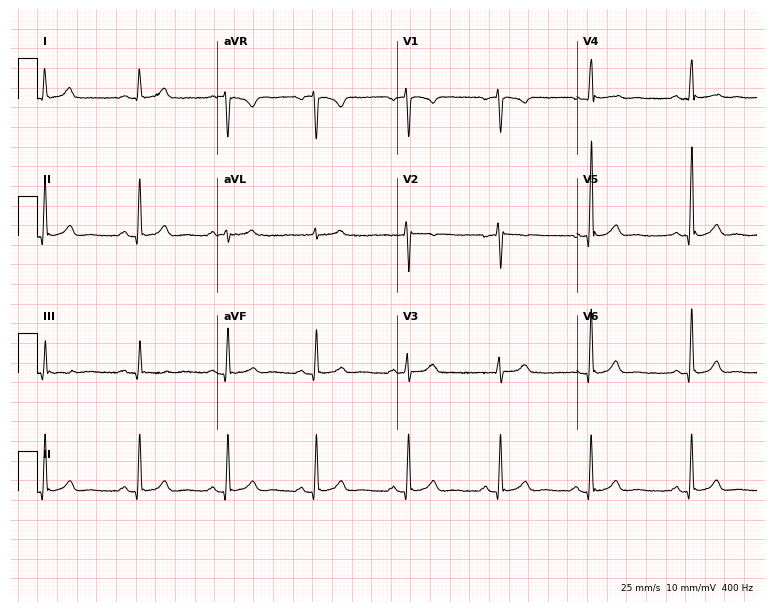
Standard 12-lead ECG recorded from a female patient, 42 years old. Read as a normal ECG.